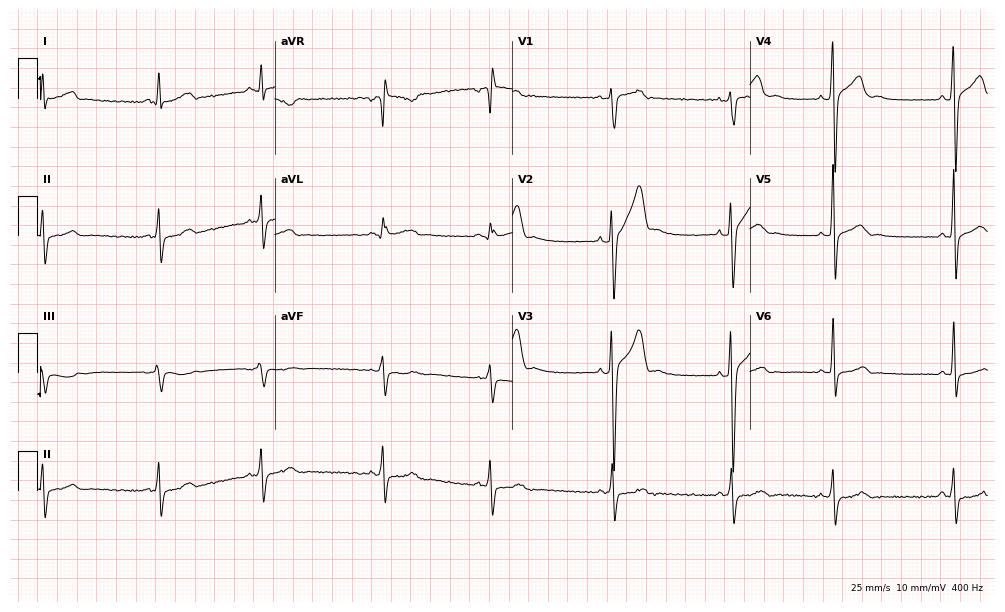
ECG (9.7-second recording at 400 Hz) — a 26-year-old woman. Screened for six findings — first-degree AV block, right bundle branch block, left bundle branch block, sinus bradycardia, atrial fibrillation, sinus tachycardia — none is recorded. Other findings, if any, are not listed.